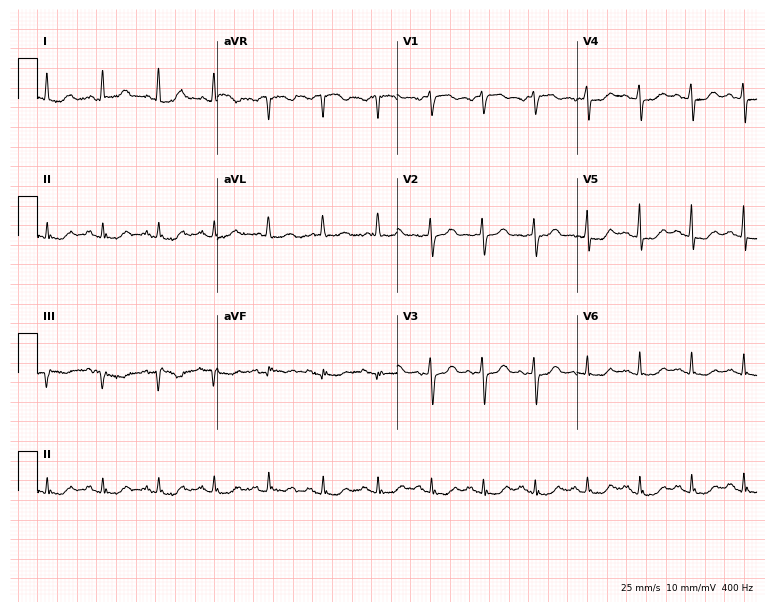
ECG (7.3-second recording at 400 Hz) — a 72-year-old woman. Findings include sinus tachycardia (a sinus rate of 100 beats per minute or more).